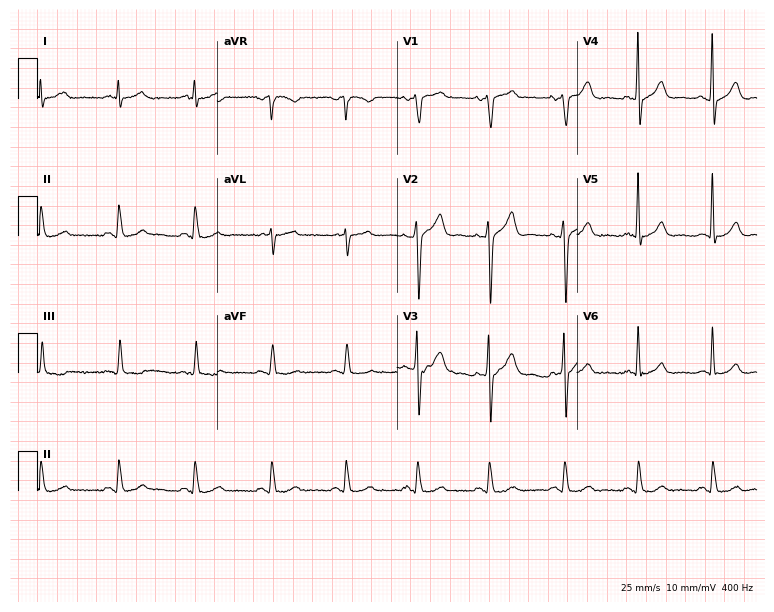
Standard 12-lead ECG recorded from a 57-year-old male patient (7.3-second recording at 400 Hz). Read as a normal ECG.